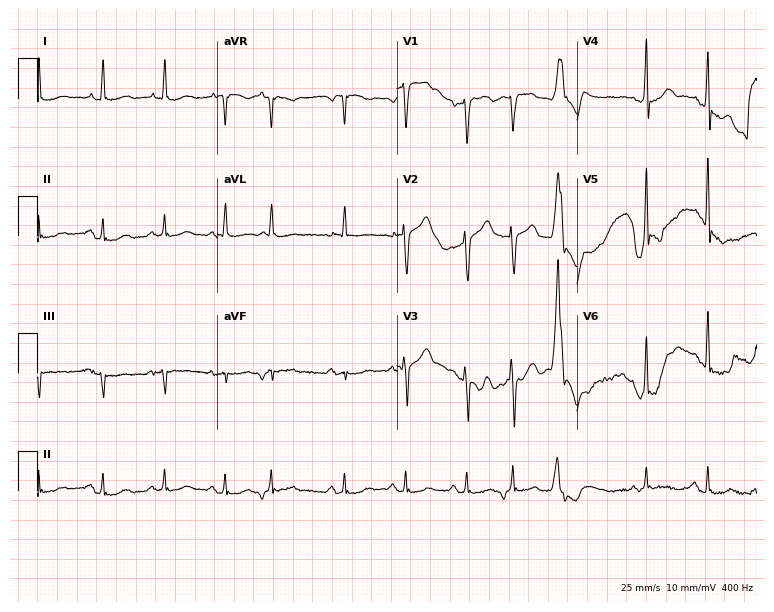
12-lead ECG from an 81-year-old male. Screened for six findings — first-degree AV block, right bundle branch block, left bundle branch block, sinus bradycardia, atrial fibrillation, sinus tachycardia — none is recorded.